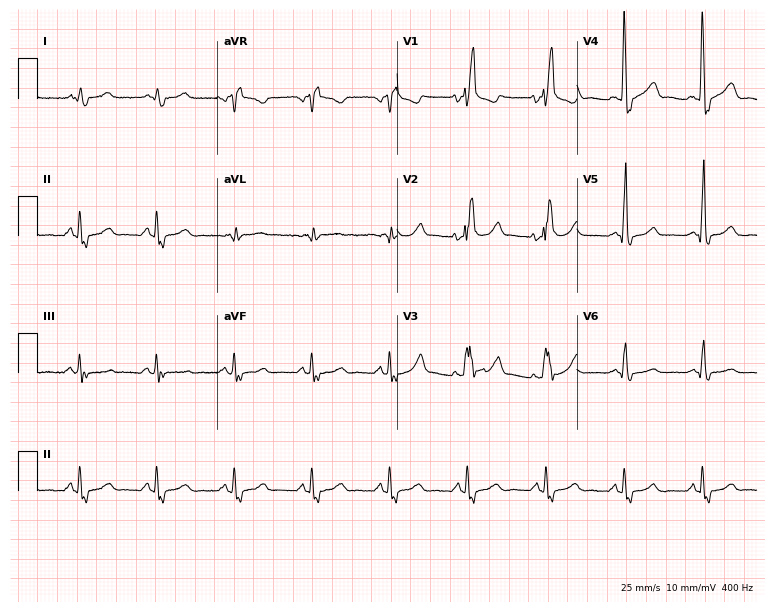
Electrocardiogram, a 68-year-old man. Interpretation includes right bundle branch block.